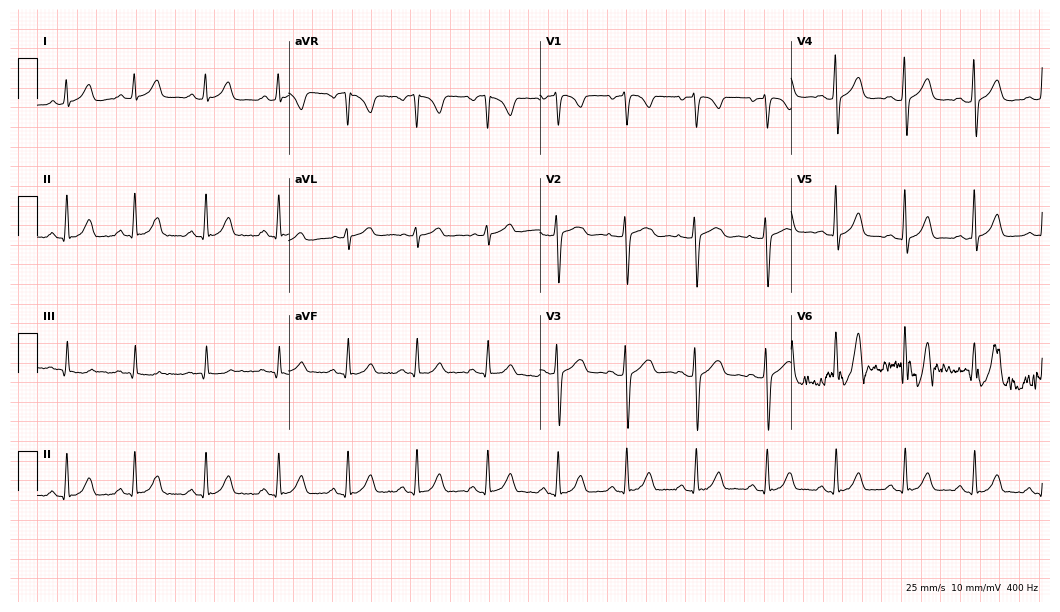
Resting 12-lead electrocardiogram. Patient: a 29-year-old female. Read as a normal ECG.